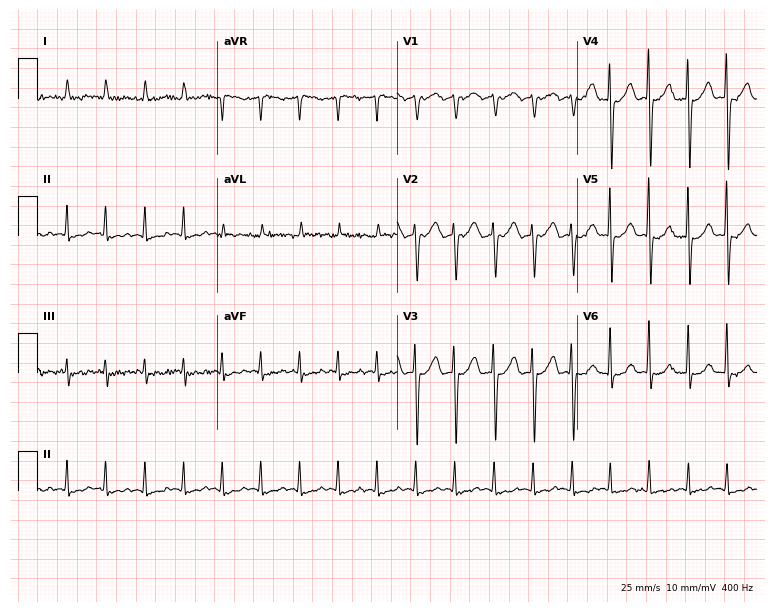
Standard 12-lead ECG recorded from a female patient, 70 years old. None of these six findings is recorded: first-degree AV block, right bundle branch block, left bundle branch block, sinus bradycardia, atrial fibrillation, sinus tachycardia. Findings outside these six are not listed.